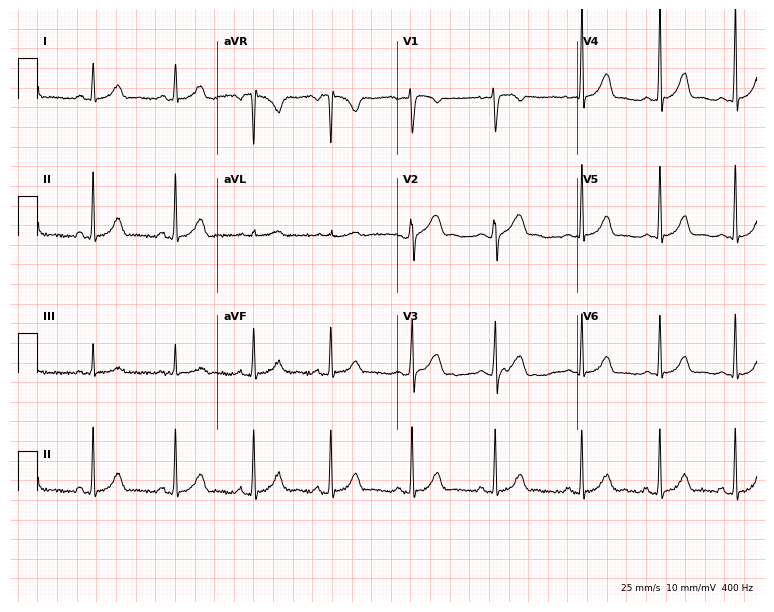
Electrocardiogram, a female, 18 years old. Overall reading on record: normal ECG.